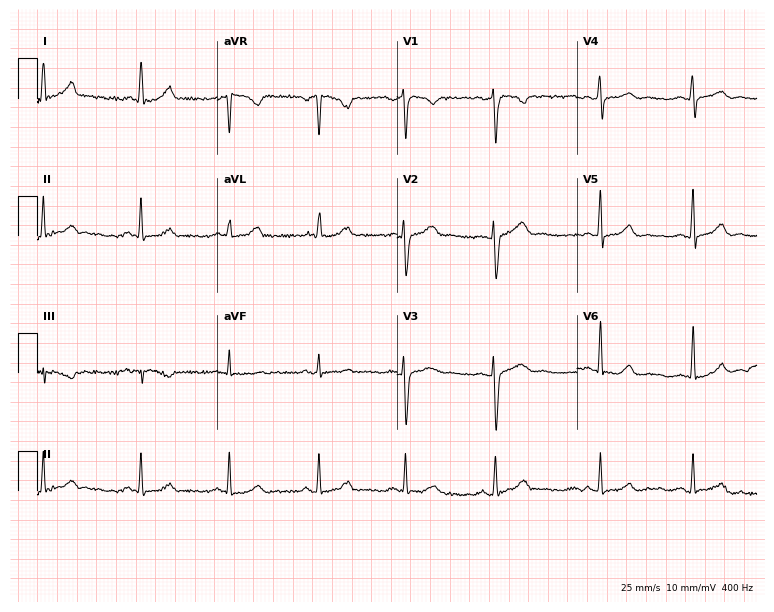
Electrocardiogram (7.3-second recording at 400 Hz), a female, 37 years old. Overall reading on record: normal ECG.